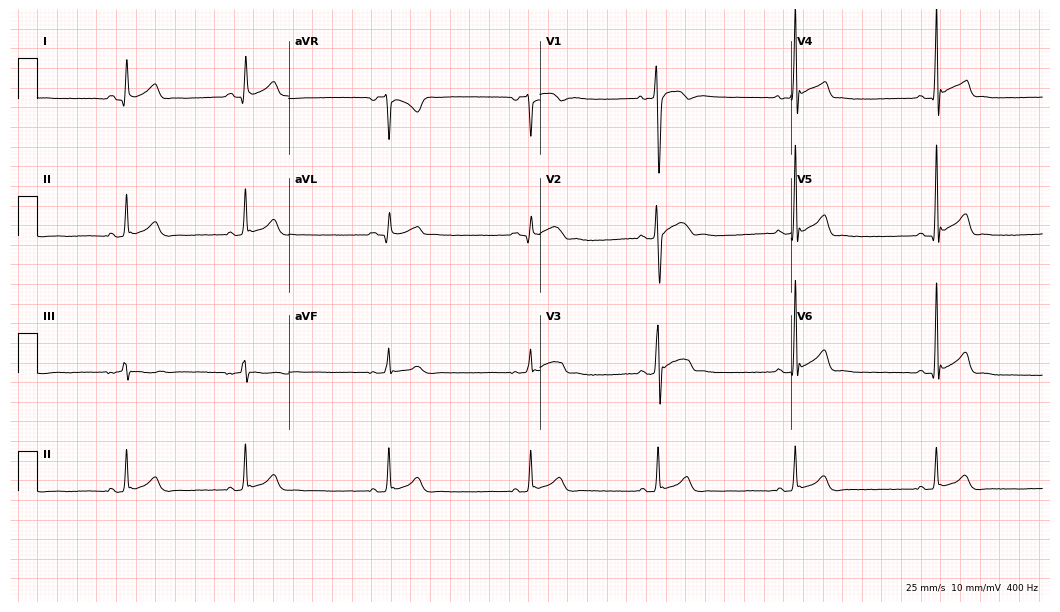
Electrocardiogram, a man, 42 years old. Interpretation includes sinus bradycardia (a sinus rate of 50 beats per minute or less).